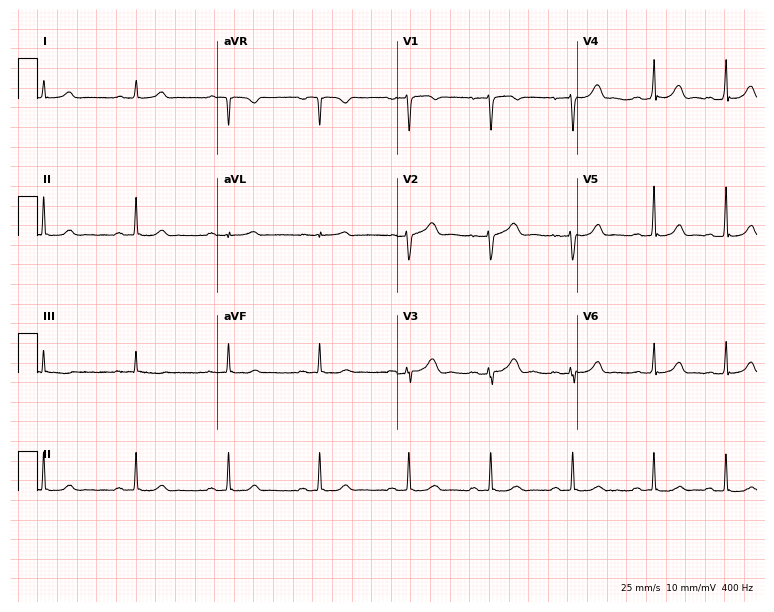
Resting 12-lead electrocardiogram (7.3-second recording at 400 Hz). Patient: a woman, 25 years old. Read as a normal ECG.